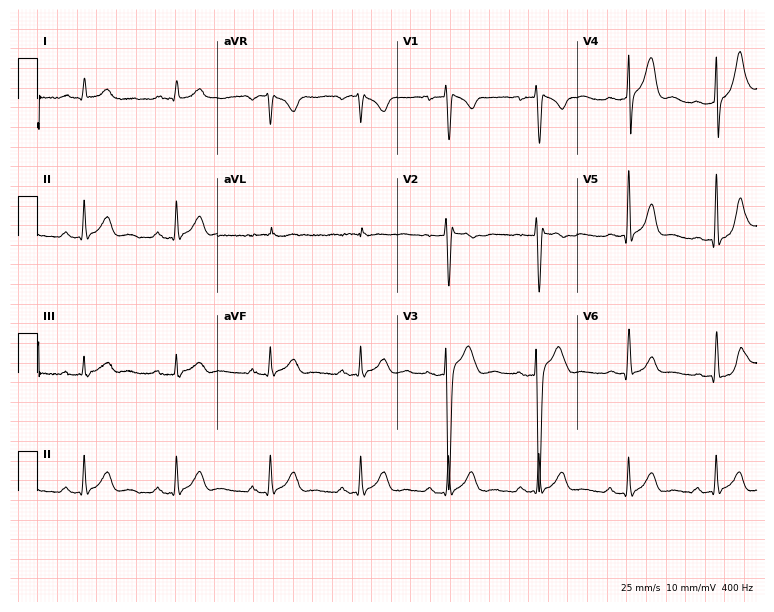
12-lead ECG (7.3-second recording at 400 Hz) from a male, 24 years old. Labelled as a normal ECG.